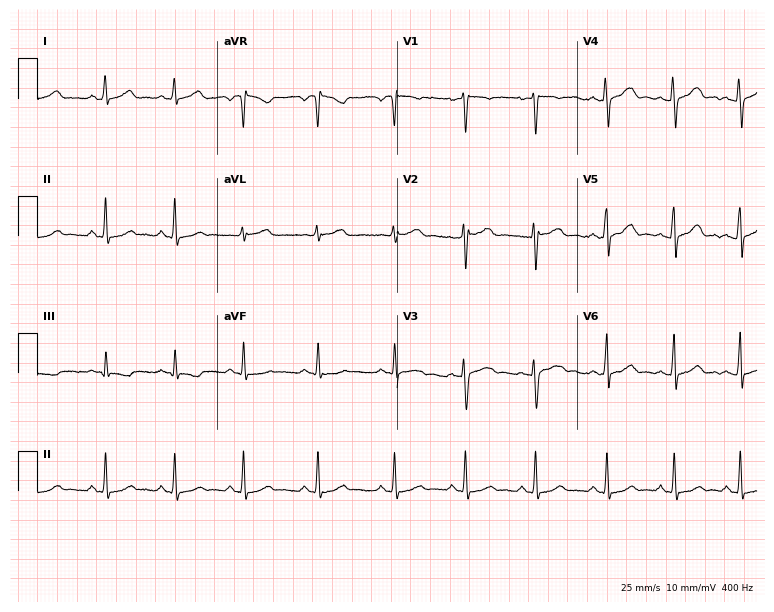
Standard 12-lead ECG recorded from a woman, 24 years old (7.3-second recording at 400 Hz). Read as a normal ECG.